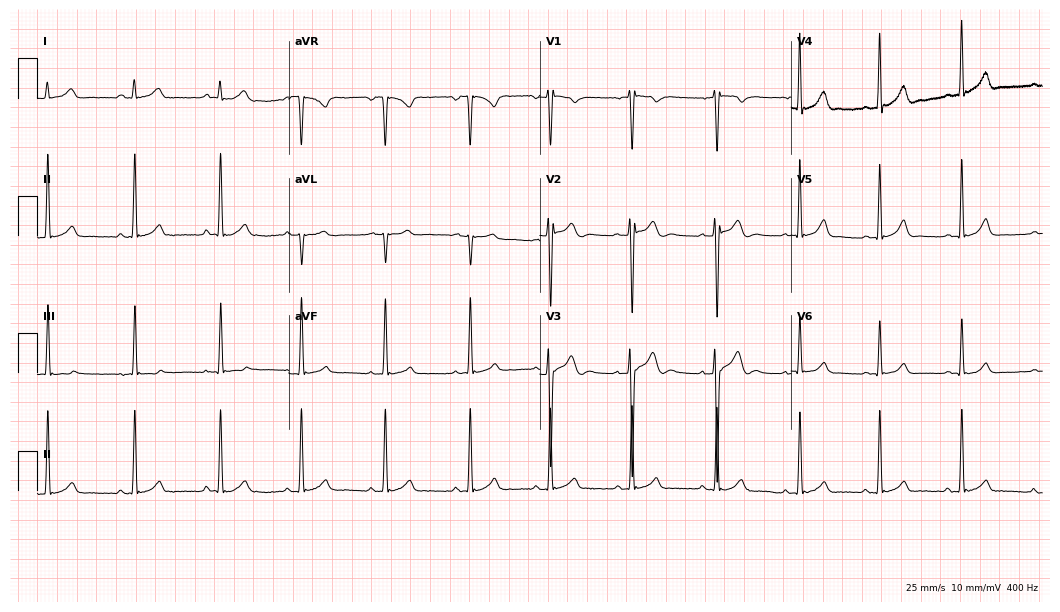
Standard 12-lead ECG recorded from a male patient, 17 years old (10.2-second recording at 400 Hz). Read as a normal ECG.